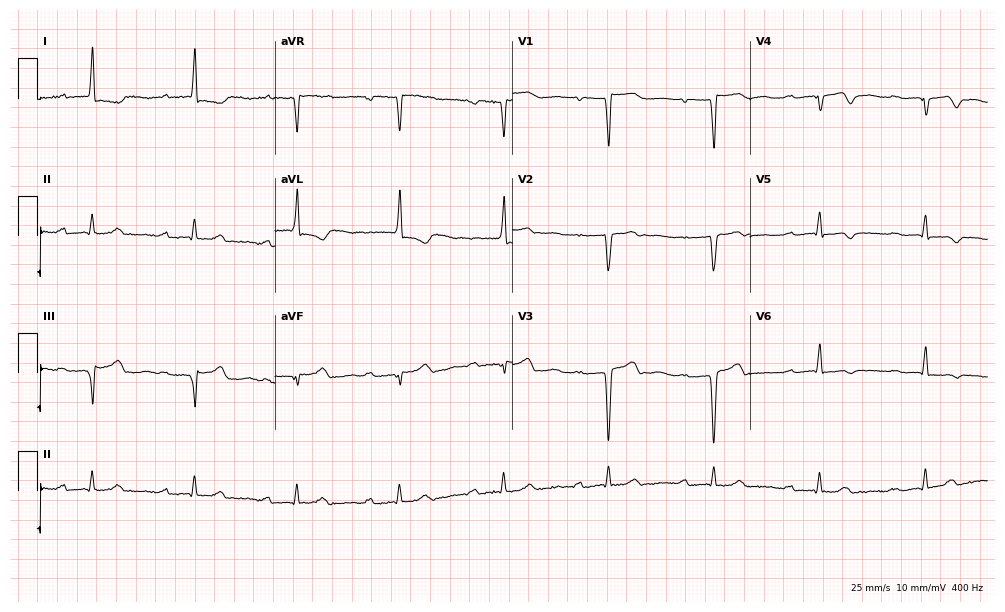
12-lead ECG from a woman, 81 years old. Findings include first-degree AV block.